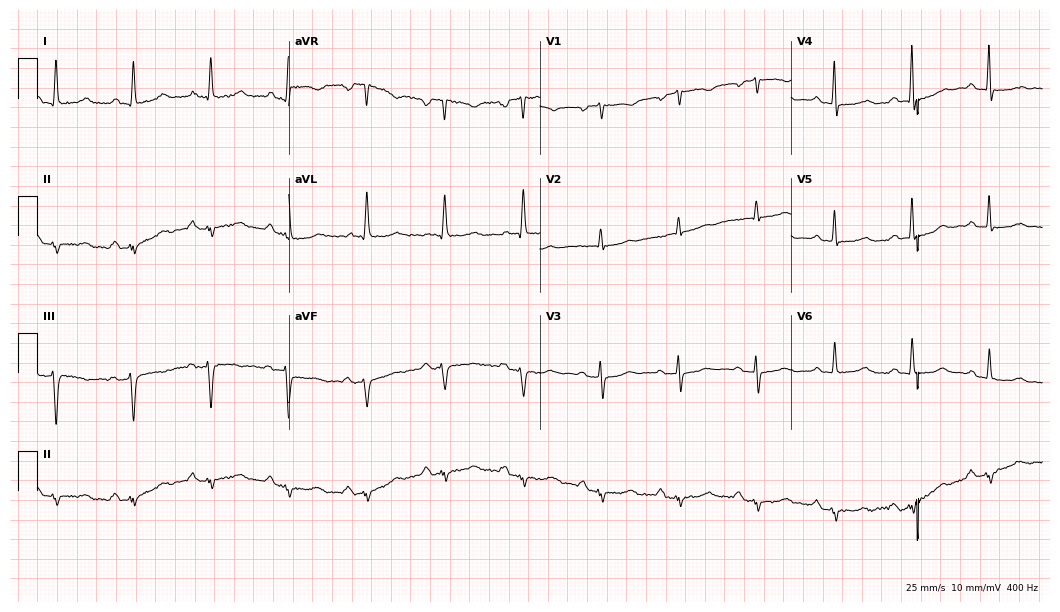
ECG — a female, 76 years old. Screened for six findings — first-degree AV block, right bundle branch block, left bundle branch block, sinus bradycardia, atrial fibrillation, sinus tachycardia — none is recorded. Findings outside these six are not listed.